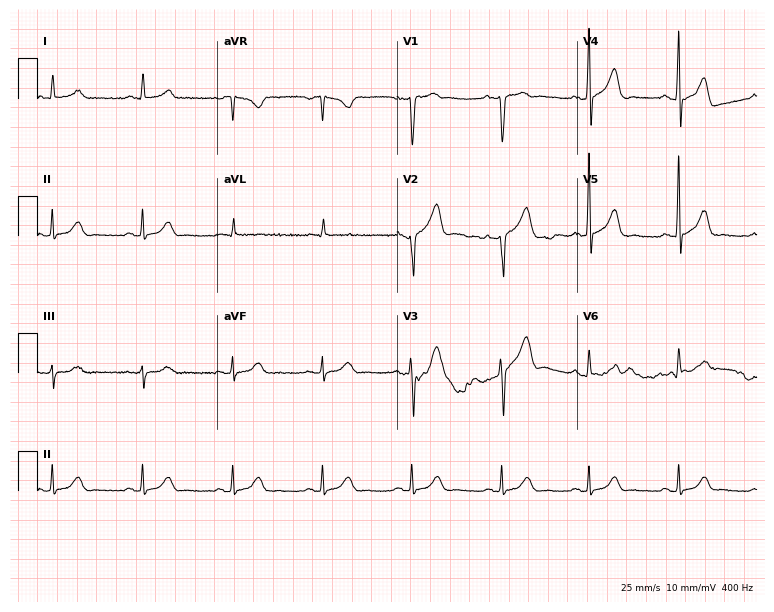
ECG — a man, 59 years old. Labelled as a normal ECG.